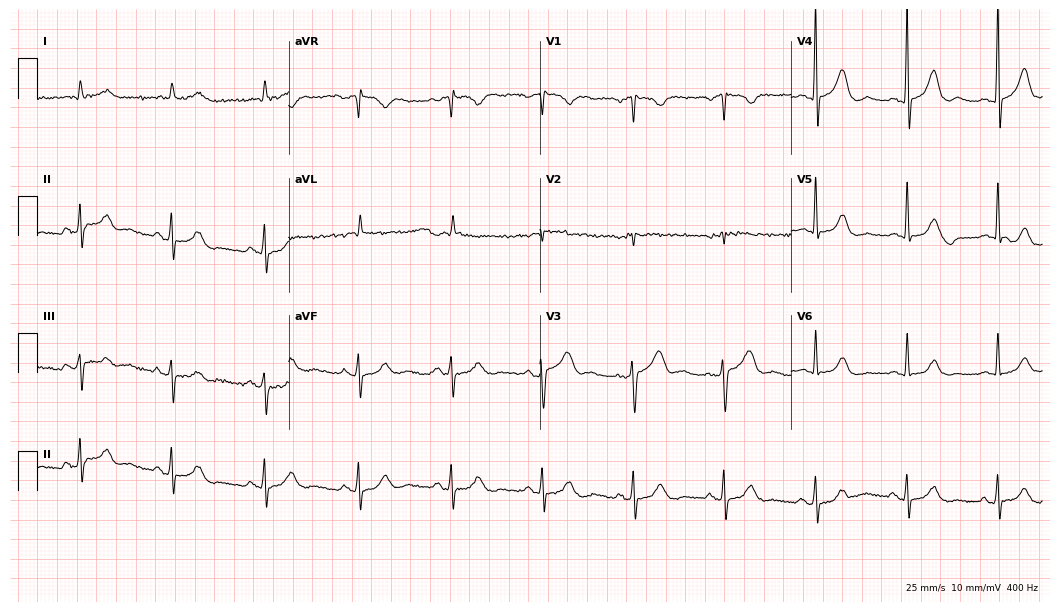
ECG — a male patient, 79 years old. Screened for six findings — first-degree AV block, right bundle branch block (RBBB), left bundle branch block (LBBB), sinus bradycardia, atrial fibrillation (AF), sinus tachycardia — none is recorded. Only these six findings were labelled.